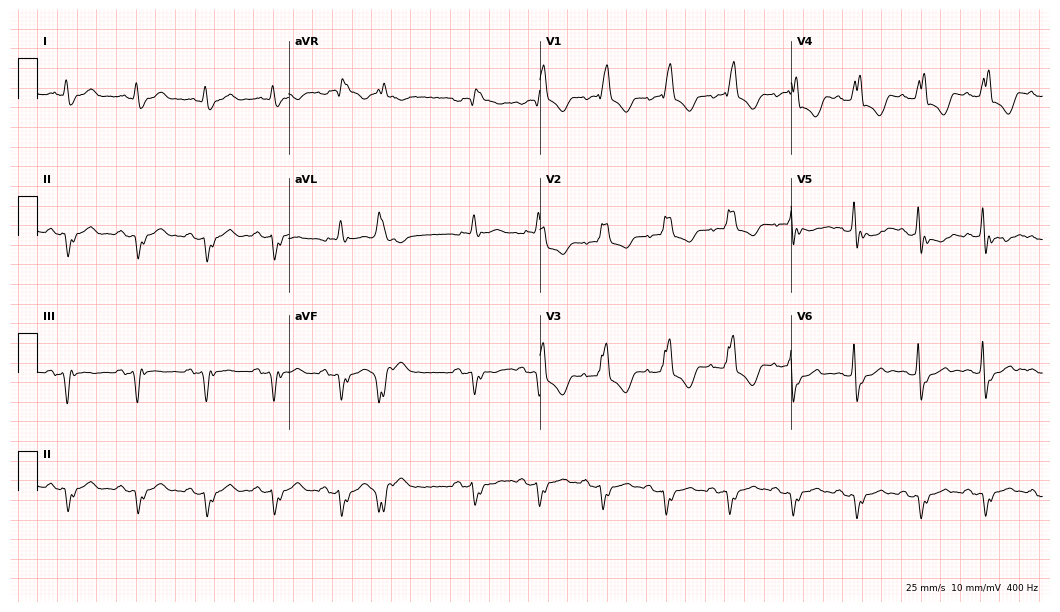
Standard 12-lead ECG recorded from an 81-year-old male patient. The tracing shows right bundle branch block.